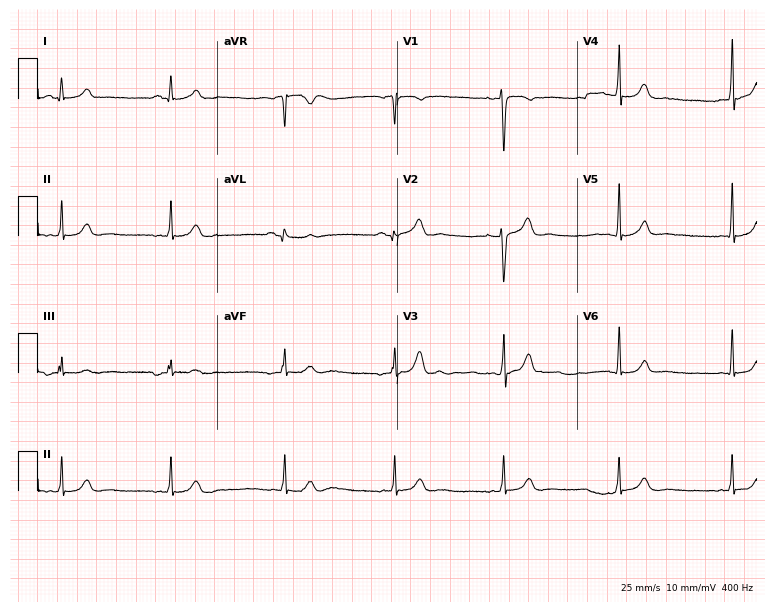
12-lead ECG from a 21-year-old female. Recorded interpretation: within normal limits.